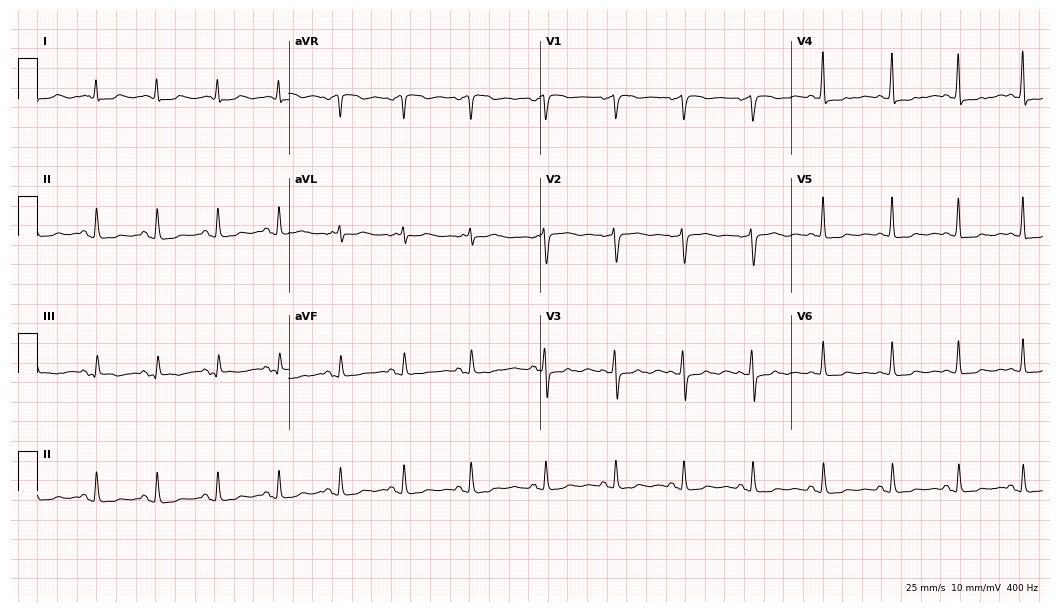
ECG — a 76-year-old female. Screened for six findings — first-degree AV block, right bundle branch block, left bundle branch block, sinus bradycardia, atrial fibrillation, sinus tachycardia — none is recorded.